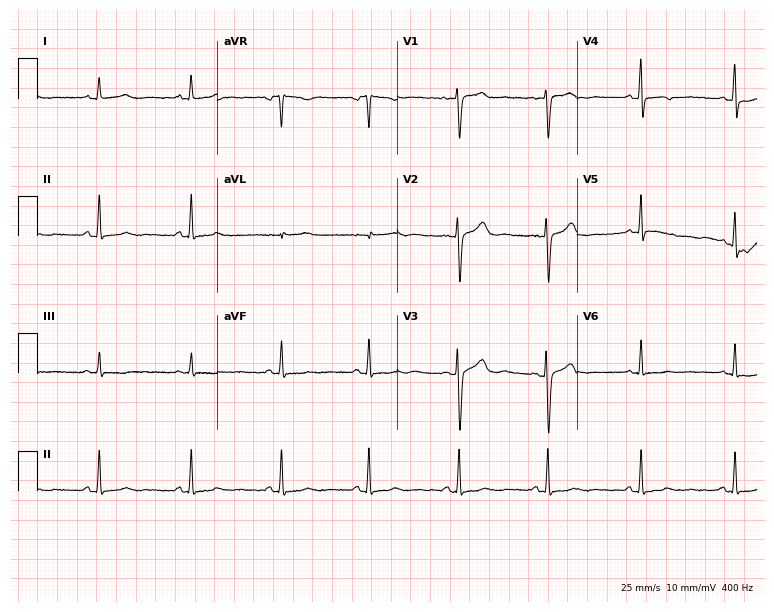
Standard 12-lead ECG recorded from a 42-year-old female. None of these six findings is recorded: first-degree AV block, right bundle branch block, left bundle branch block, sinus bradycardia, atrial fibrillation, sinus tachycardia.